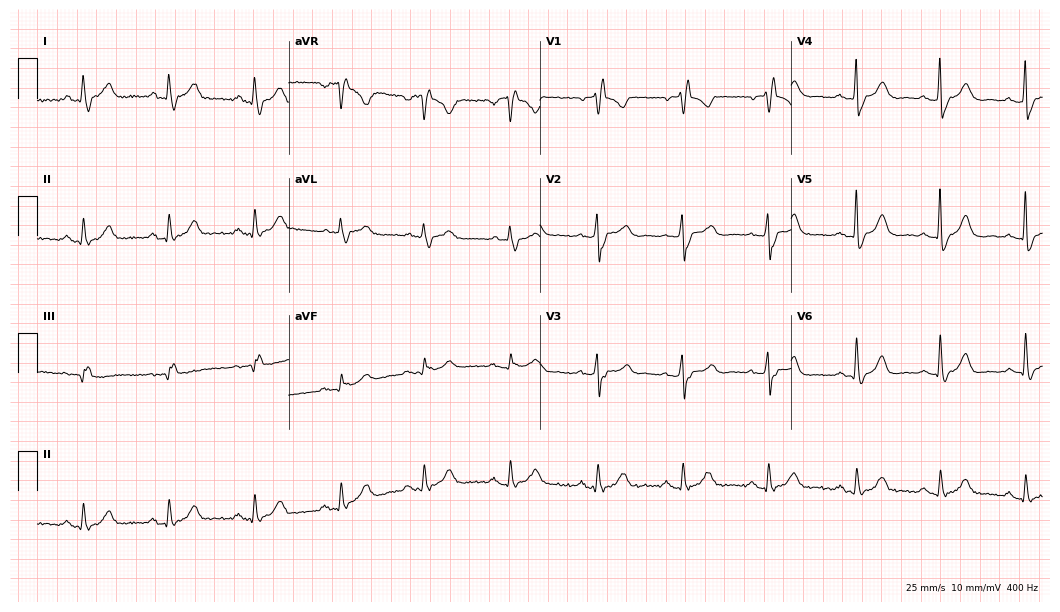
Standard 12-lead ECG recorded from a female, 60 years old (10.2-second recording at 400 Hz). The tracing shows right bundle branch block.